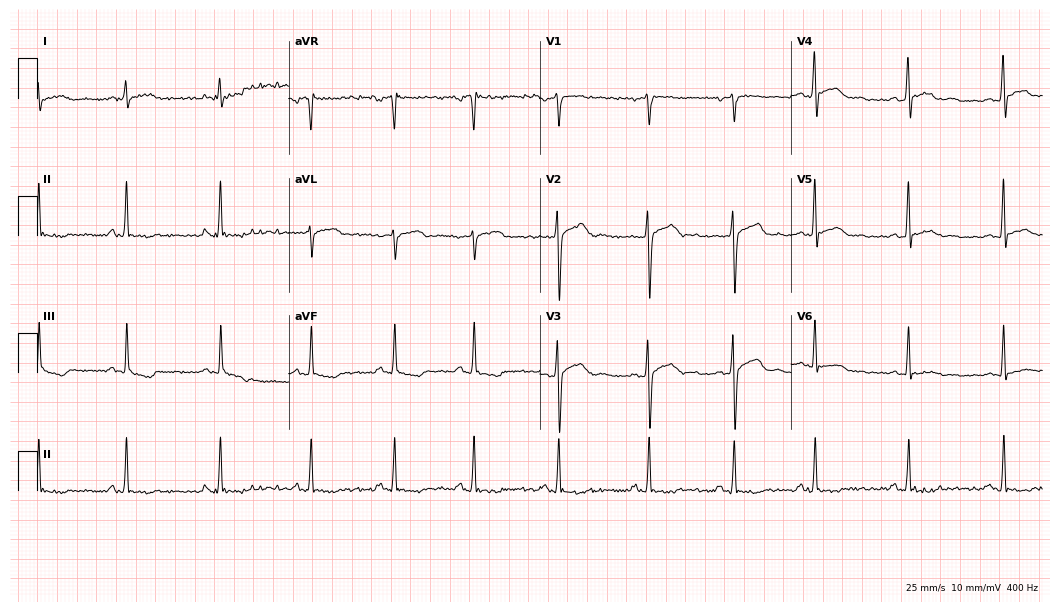
Resting 12-lead electrocardiogram. Patient: a male, 29 years old. None of these six findings is recorded: first-degree AV block, right bundle branch block, left bundle branch block, sinus bradycardia, atrial fibrillation, sinus tachycardia. Other findings, if any, are not listed.